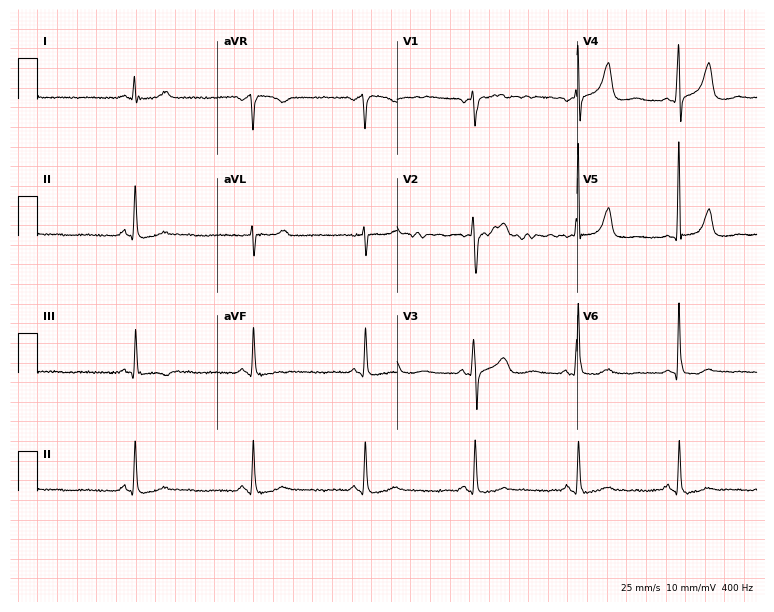
ECG (7.3-second recording at 400 Hz) — a woman, 79 years old. Screened for six findings — first-degree AV block, right bundle branch block, left bundle branch block, sinus bradycardia, atrial fibrillation, sinus tachycardia — none is recorded.